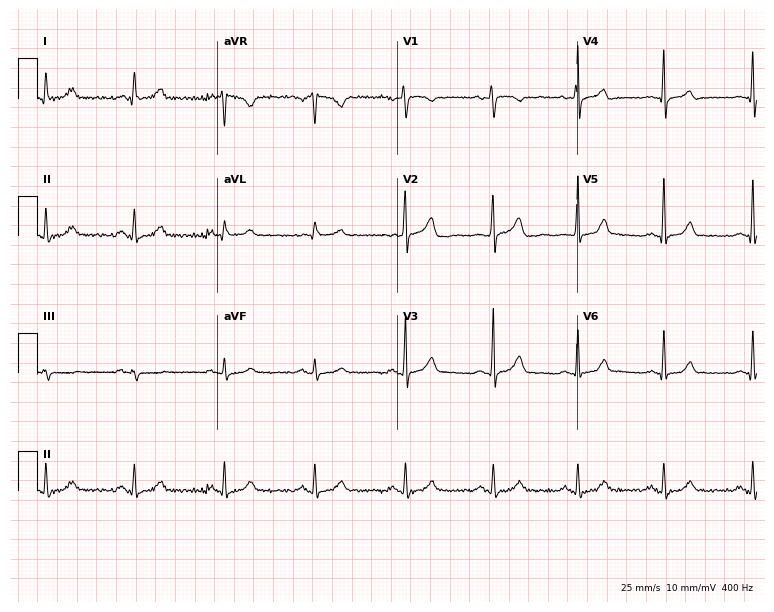
ECG (7.3-second recording at 400 Hz) — a 46-year-old woman. Labelled as a normal ECG.